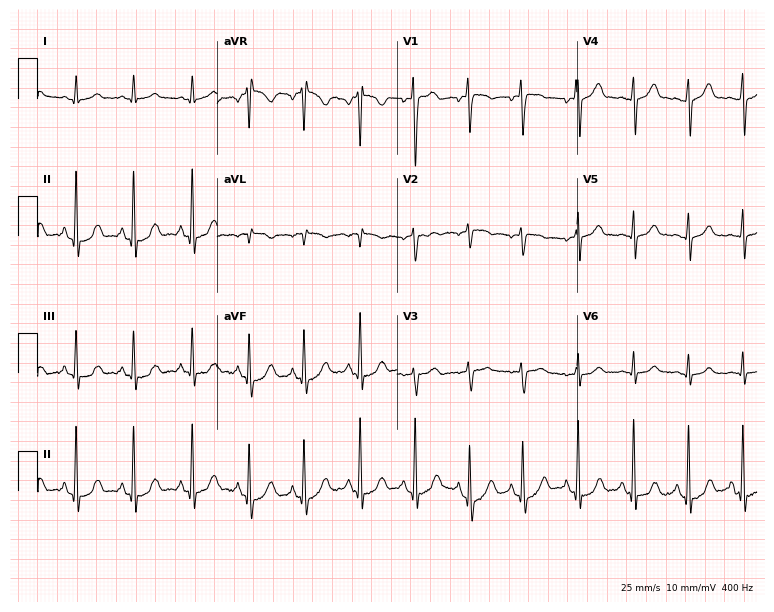
12-lead ECG from a 25-year-old male (7.3-second recording at 400 Hz). Shows sinus tachycardia (a sinus rate of 100 beats per minute or more).